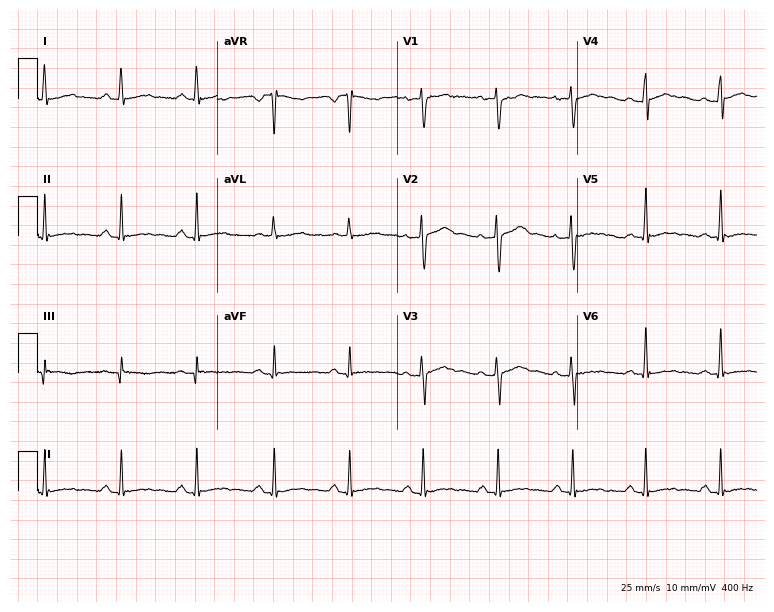
12-lead ECG (7.3-second recording at 400 Hz) from a female patient, 39 years old. Screened for six findings — first-degree AV block, right bundle branch block, left bundle branch block, sinus bradycardia, atrial fibrillation, sinus tachycardia — none is recorded.